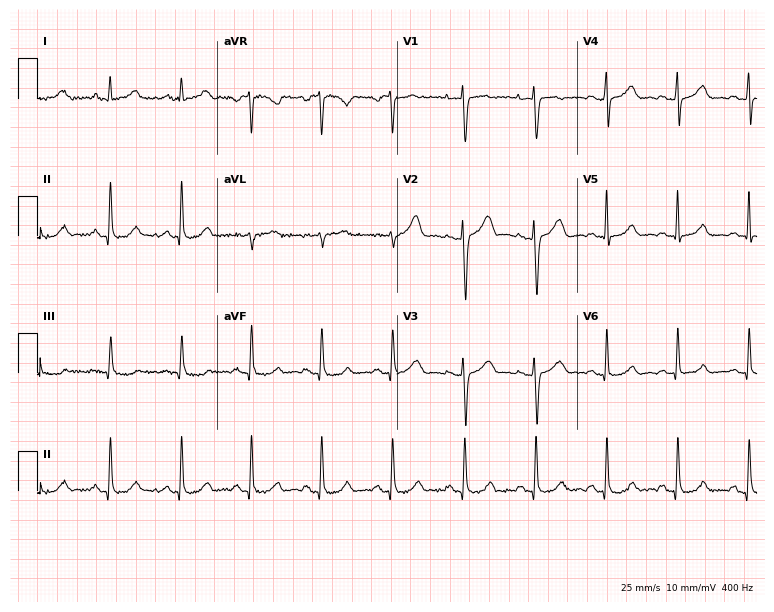
12-lead ECG from a female, 33 years old (7.3-second recording at 400 Hz). No first-degree AV block, right bundle branch block, left bundle branch block, sinus bradycardia, atrial fibrillation or sinus tachycardia recorded for this tracing.